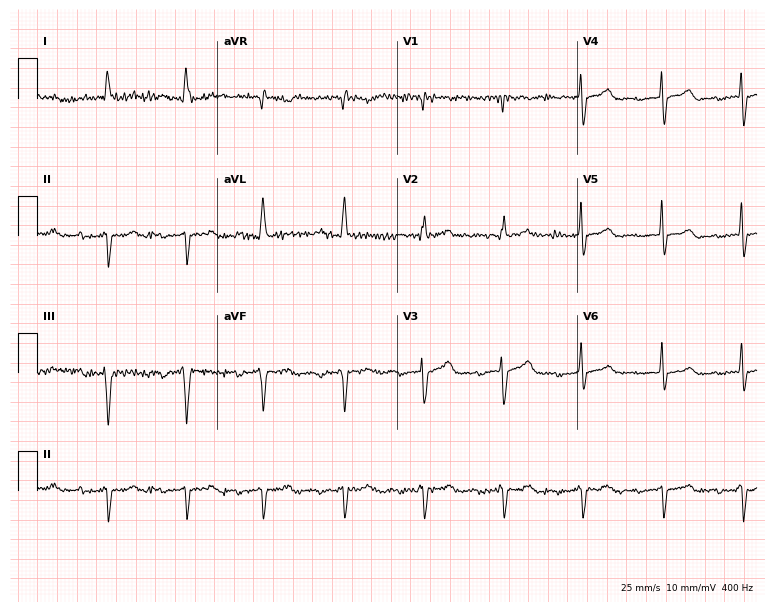
12-lead ECG (7.3-second recording at 400 Hz) from a 77-year-old female. Findings include first-degree AV block.